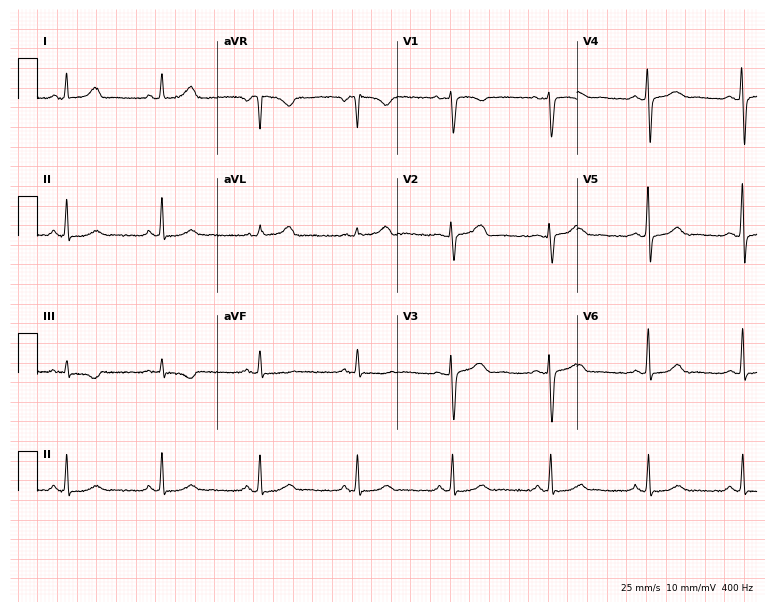
12-lead ECG from a female, 49 years old. Labelled as a normal ECG.